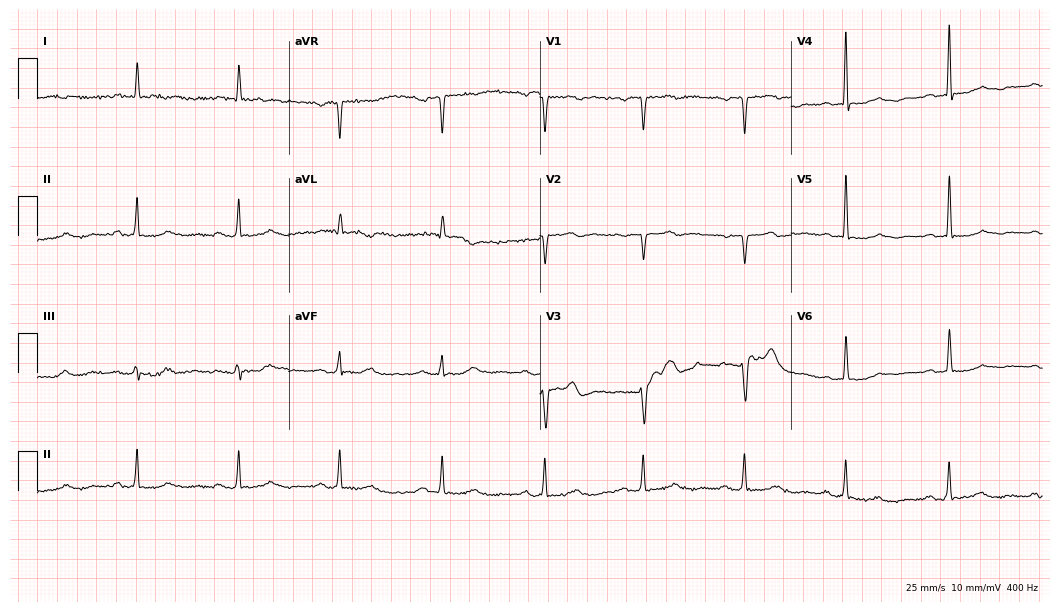
Standard 12-lead ECG recorded from a 64-year-old female patient. None of these six findings is recorded: first-degree AV block, right bundle branch block, left bundle branch block, sinus bradycardia, atrial fibrillation, sinus tachycardia. Only these six findings were labelled.